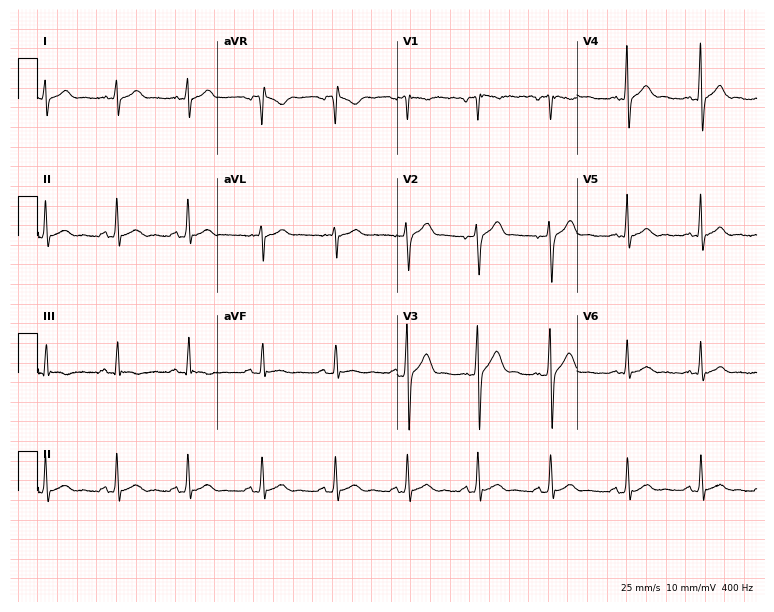
12-lead ECG from a 20-year-old male patient. Labelled as a normal ECG.